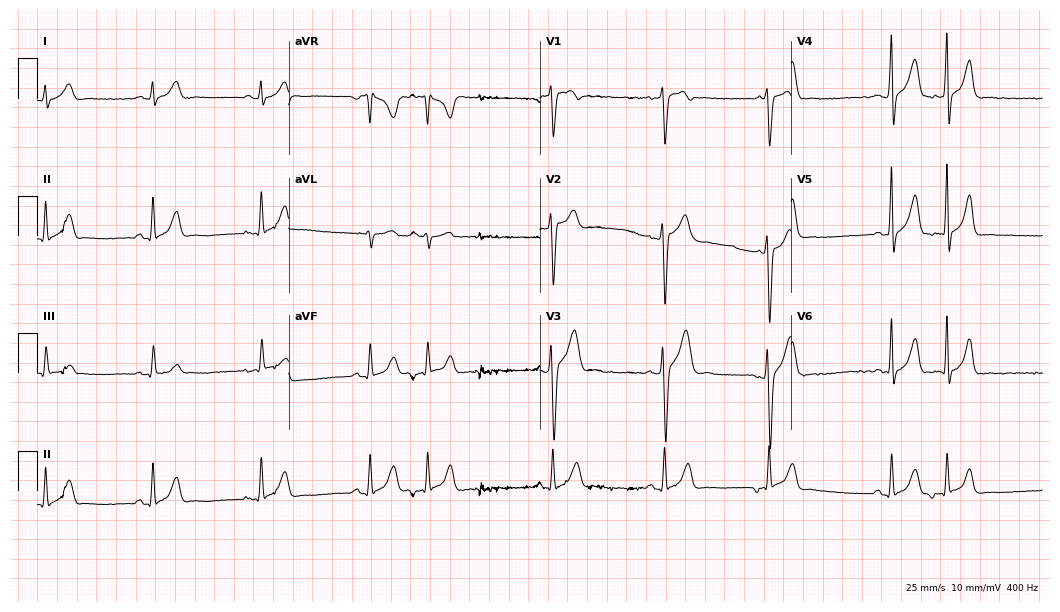
12-lead ECG from a 25-year-old man. Recorded interpretation: within normal limits.